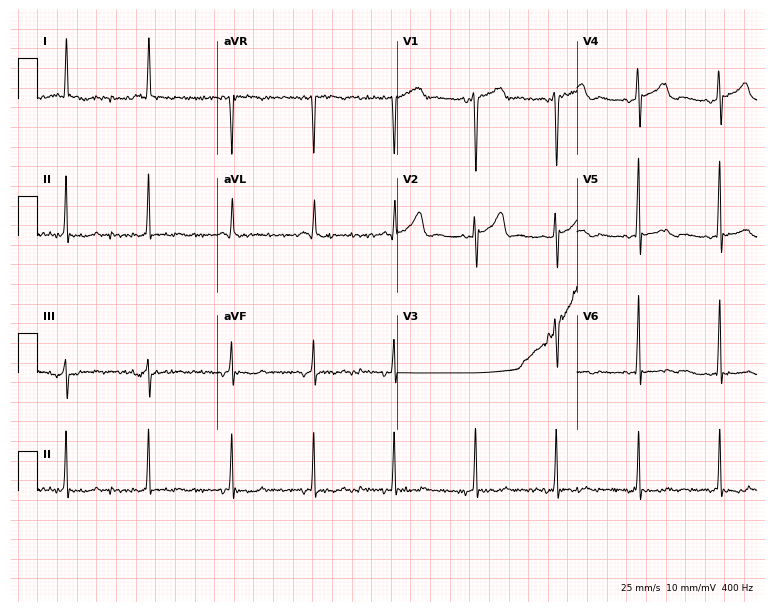
ECG (7.3-second recording at 400 Hz) — a female patient, 74 years old. Screened for six findings — first-degree AV block, right bundle branch block, left bundle branch block, sinus bradycardia, atrial fibrillation, sinus tachycardia — none is recorded.